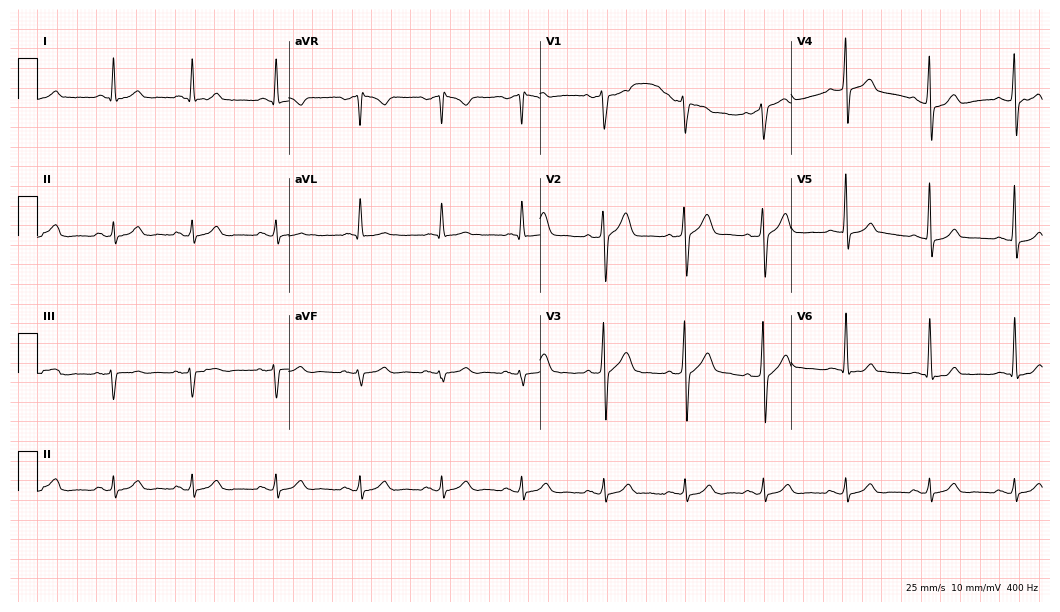
Standard 12-lead ECG recorded from a 49-year-old male (10.2-second recording at 400 Hz). None of these six findings is recorded: first-degree AV block, right bundle branch block, left bundle branch block, sinus bradycardia, atrial fibrillation, sinus tachycardia. Findings outside these six are not listed.